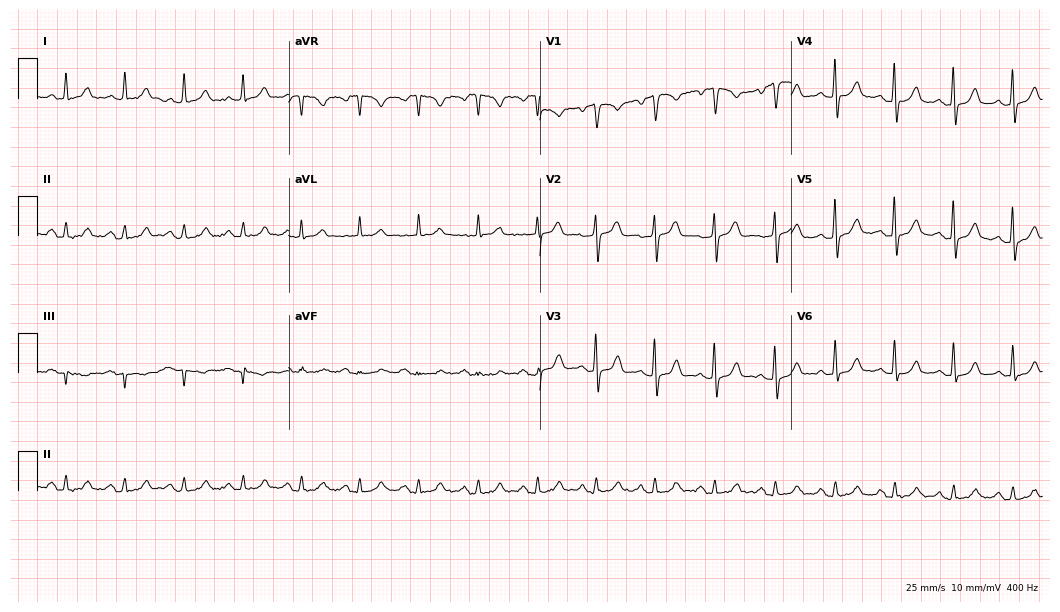
ECG — a 55-year-old man. Screened for six findings — first-degree AV block, right bundle branch block, left bundle branch block, sinus bradycardia, atrial fibrillation, sinus tachycardia — none is recorded.